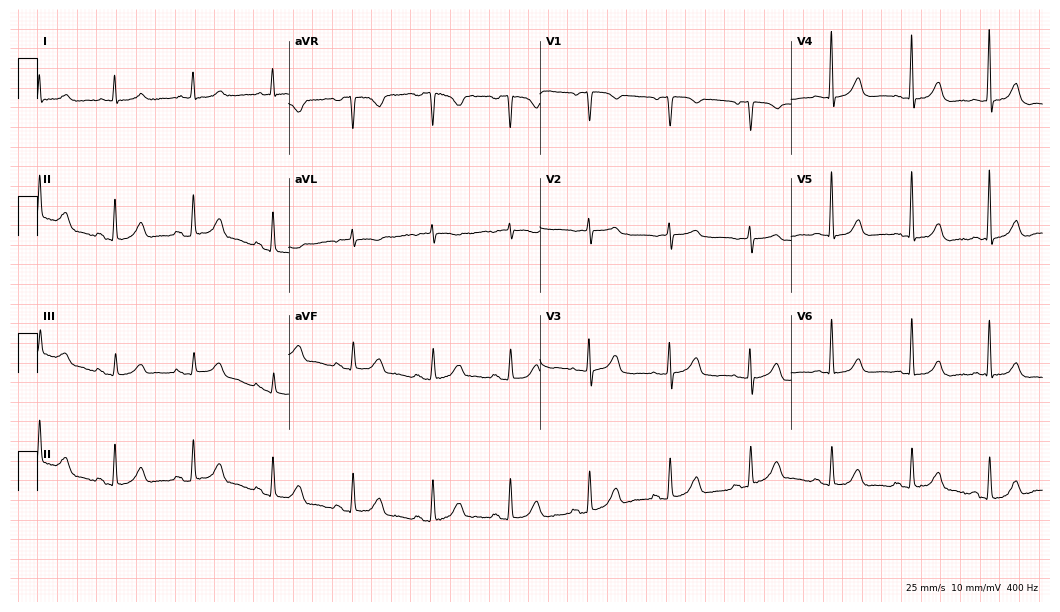
12-lead ECG from a woman, 84 years old. Recorded interpretation: within normal limits.